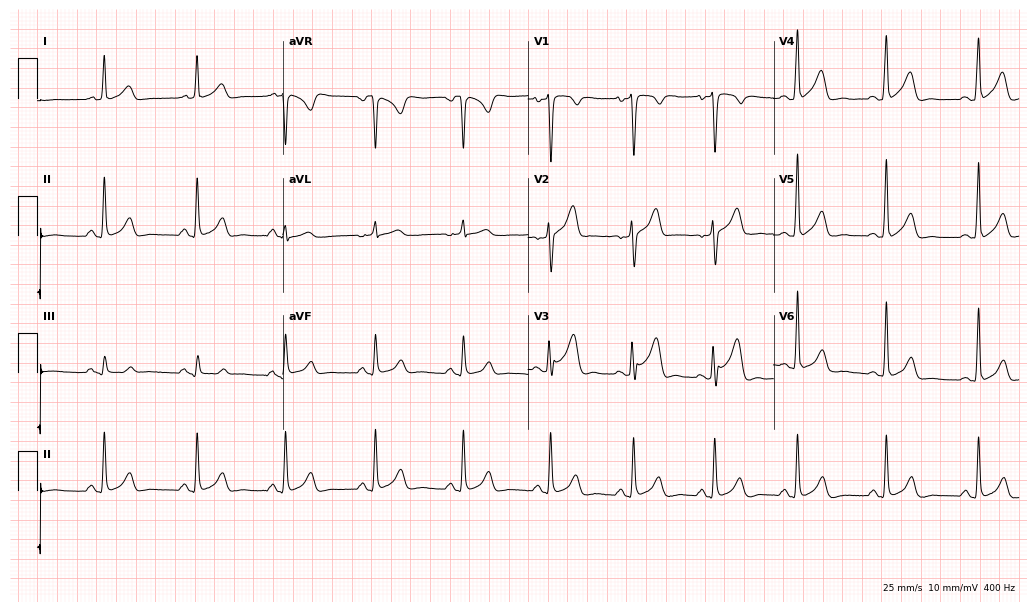
Standard 12-lead ECG recorded from a 26-year-old male patient. None of these six findings is recorded: first-degree AV block, right bundle branch block (RBBB), left bundle branch block (LBBB), sinus bradycardia, atrial fibrillation (AF), sinus tachycardia. Only these six findings were labelled.